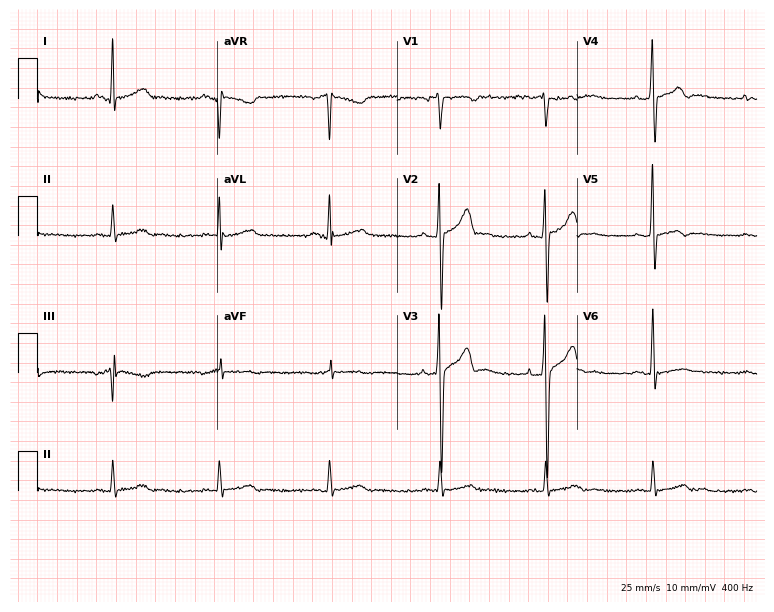
Resting 12-lead electrocardiogram (7.3-second recording at 400 Hz). Patient: a 32-year-old man. Read as a normal ECG.